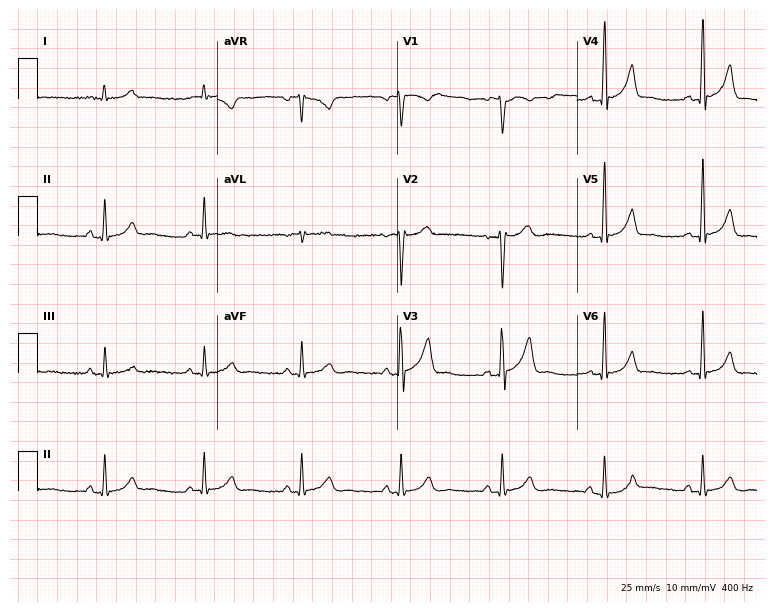
12-lead ECG from a 47-year-old male patient (7.3-second recording at 400 Hz). No first-degree AV block, right bundle branch block, left bundle branch block, sinus bradycardia, atrial fibrillation or sinus tachycardia recorded for this tracing.